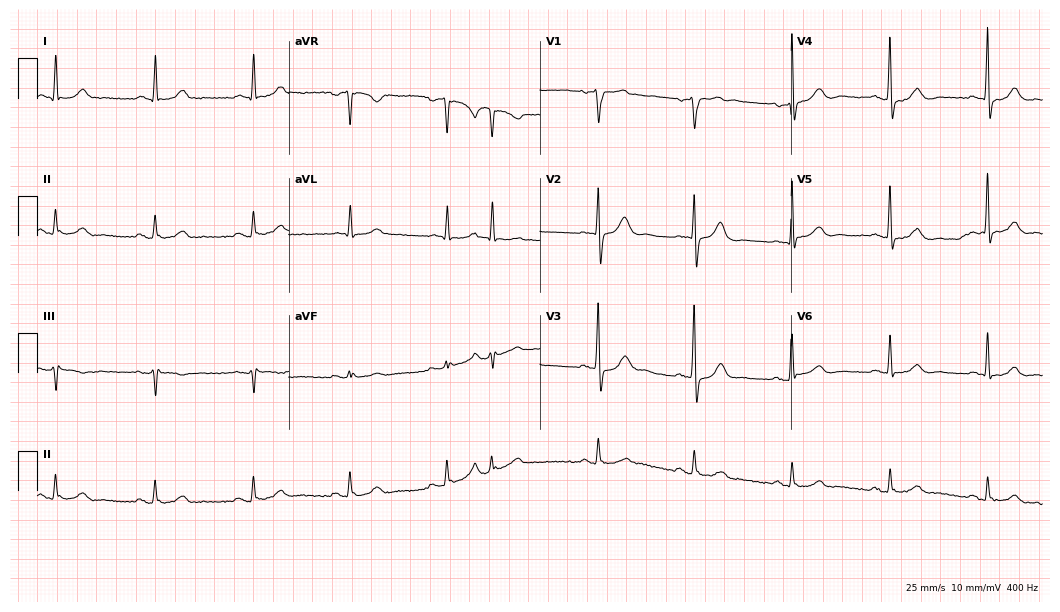
ECG (10.2-second recording at 400 Hz) — a male patient, 62 years old. Screened for six findings — first-degree AV block, right bundle branch block, left bundle branch block, sinus bradycardia, atrial fibrillation, sinus tachycardia — none is recorded. Only these six findings were labelled.